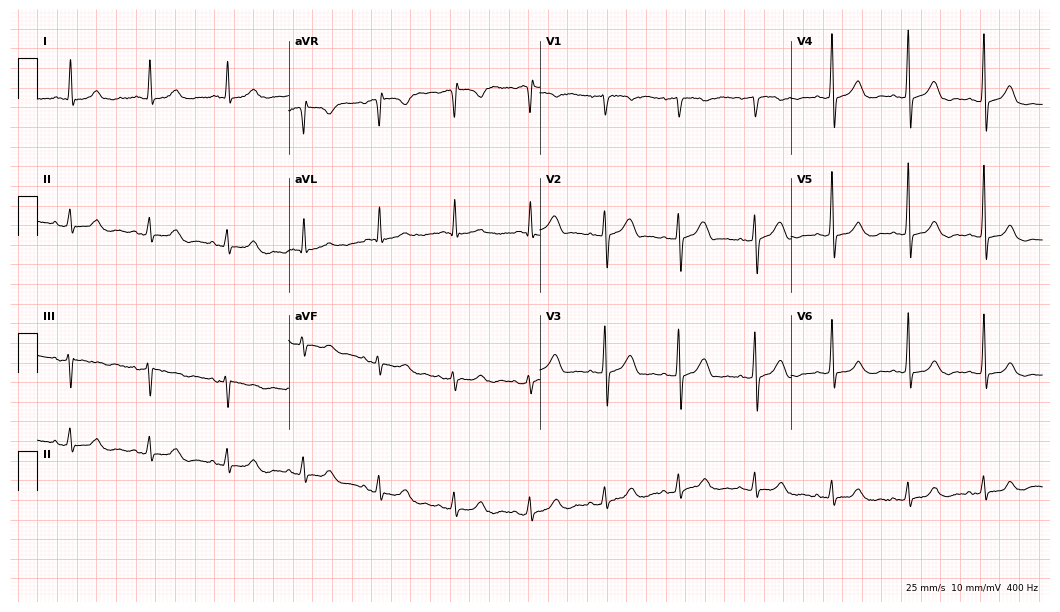
Resting 12-lead electrocardiogram (10.2-second recording at 400 Hz). Patient: a female, 63 years old. None of these six findings is recorded: first-degree AV block, right bundle branch block, left bundle branch block, sinus bradycardia, atrial fibrillation, sinus tachycardia.